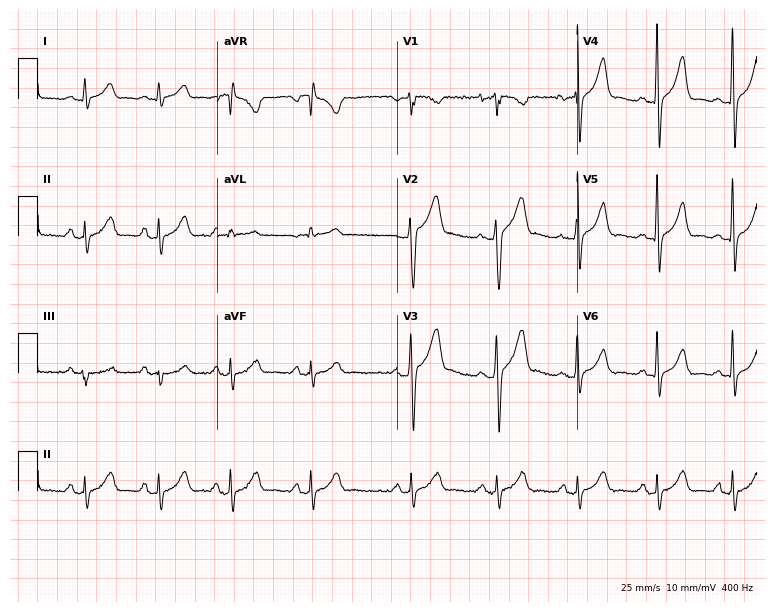
Resting 12-lead electrocardiogram (7.3-second recording at 400 Hz). Patient: a 28-year-old man. None of these six findings is recorded: first-degree AV block, right bundle branch block, left bundle branch block, sinus bradycardia, atrial fibrillation, sinus tachycardia. Findings outside these six are not listed.